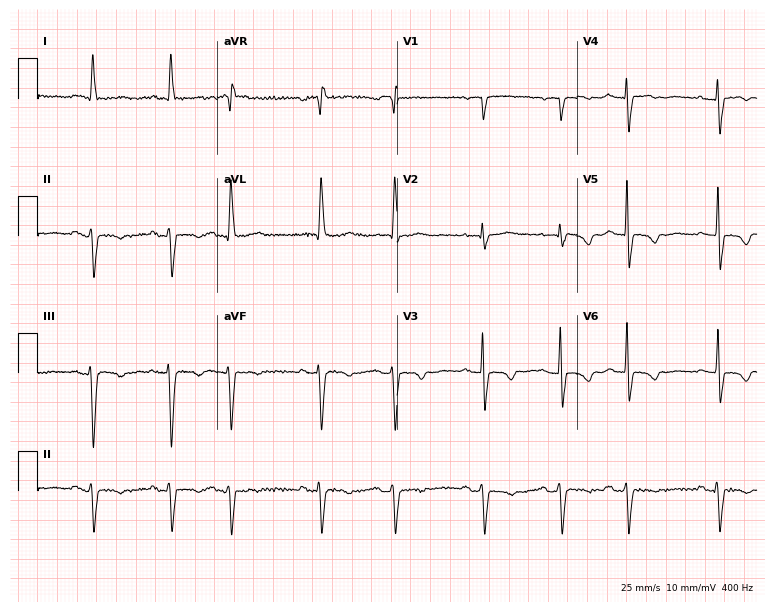
ECG (7.3-second recording at 400 Hz) — a female, 85 years old. Screened for six findings — first-degree AV block, right bundle branch block (RBBB), left bundle branch block (LBBB), sinus bradycardia, atrial fibrillation (AF), sinus tachycardia — none is recorded.